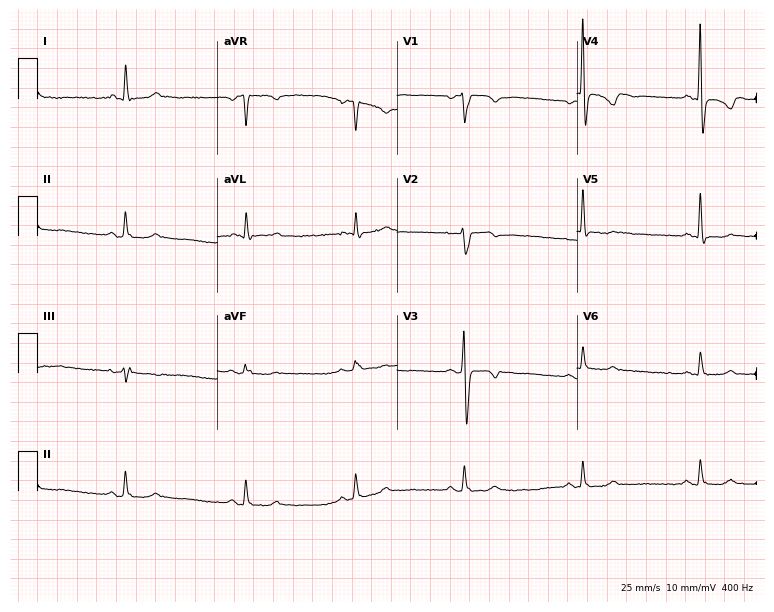
Electrocardiogram, a 46-year-old female patient. Of the six screened findings (first-degree AV block, right bundle branch block, left bundle branch block, sinus bradycardia, atrial fibrillation, sinus tachycardia), none is recorded. Findings outside these six are not listed.